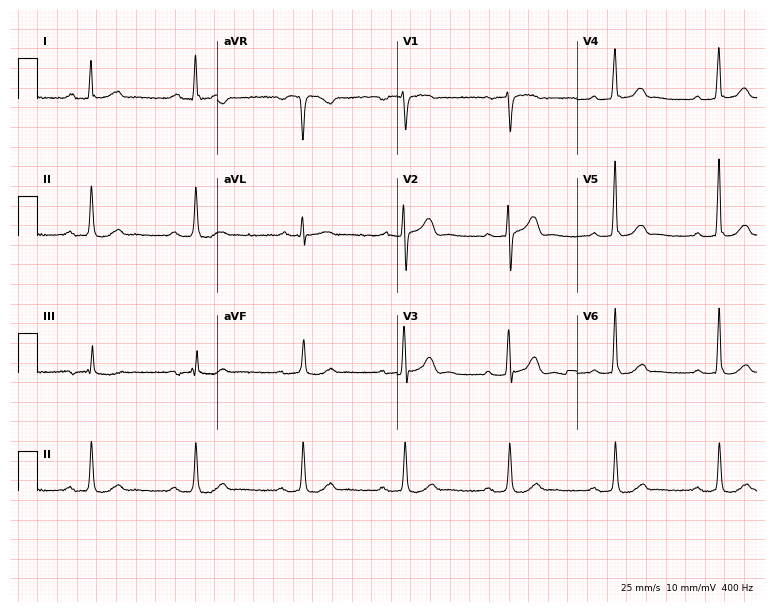
Resting 12-lead electrocardiogram (7.3-second recording at 400 Hz). Patient: a 49-year-old male. The tracing shows first-degree AV block.